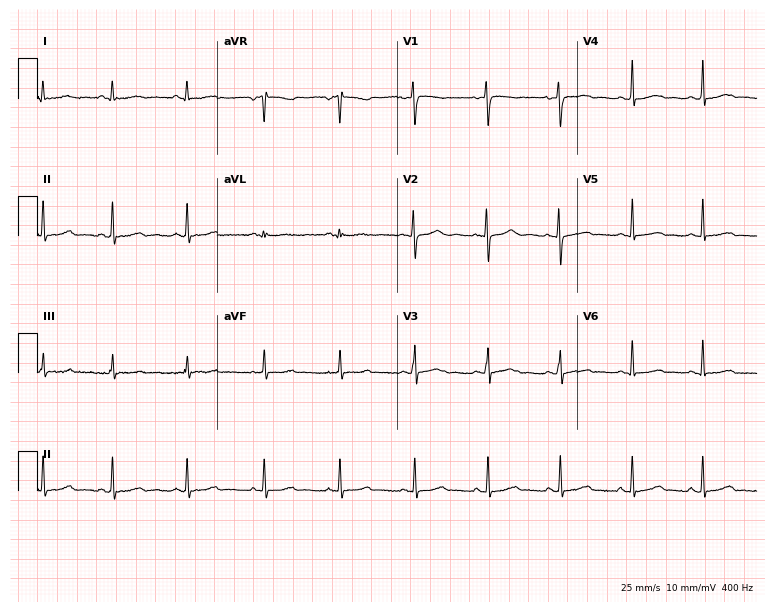
Standard 12-lead ECG recorded from a 19-year-old female patient (7.3-second recording at 400 Hz). None of these six findings is recorded: first-degree AV block, right bundle branch block (RBBB), left bundle branch block (LBBB), sinus bradycardia, atrial fibrillation (AF), sinus tachycardia.